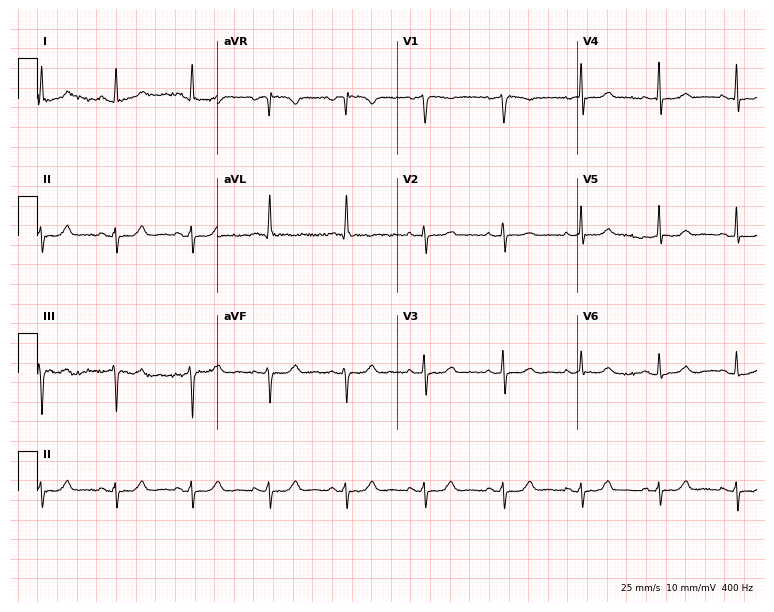
ECG (7.3-second recording at 400 Hz) — a 75-year-old female patient. Screened for six findings — first-degree AV block, right bundle branch block, left bundle branch block, sinus bradycardia, atrial fibrillation, sinus tachycardia — none is recorded.